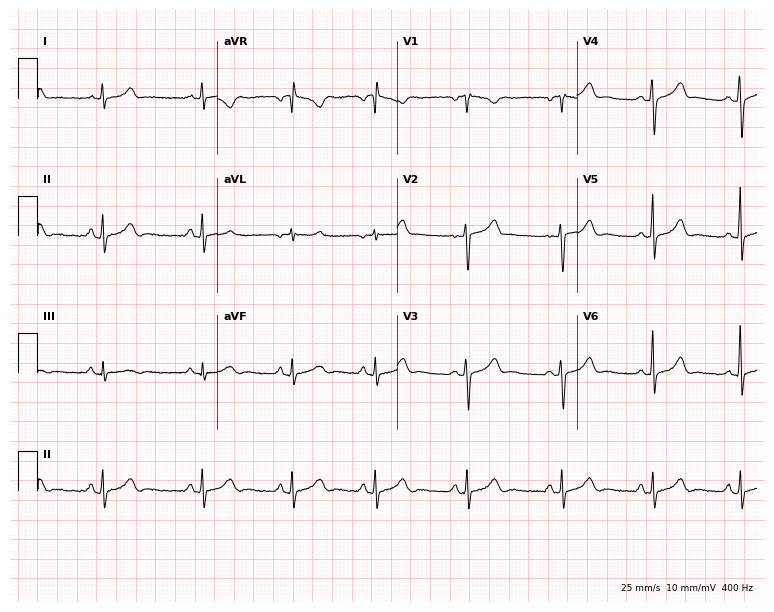
12-lead ECG from a woman, 17 years old. Recorded interpretation: within normal limits.